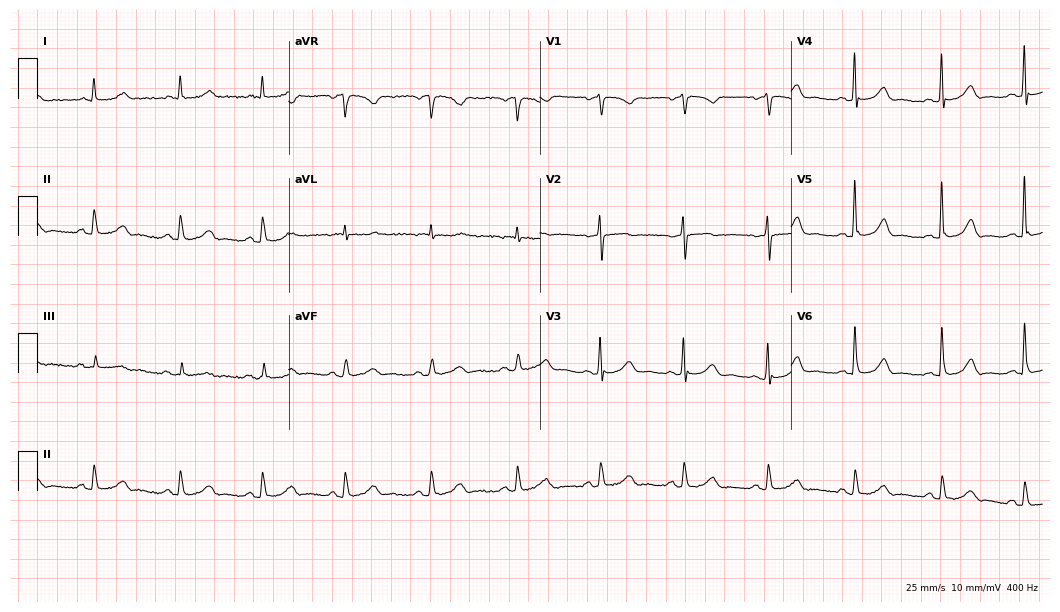
12-lead ECG from an 81-year-old woman. Labelled as a normal ECG.